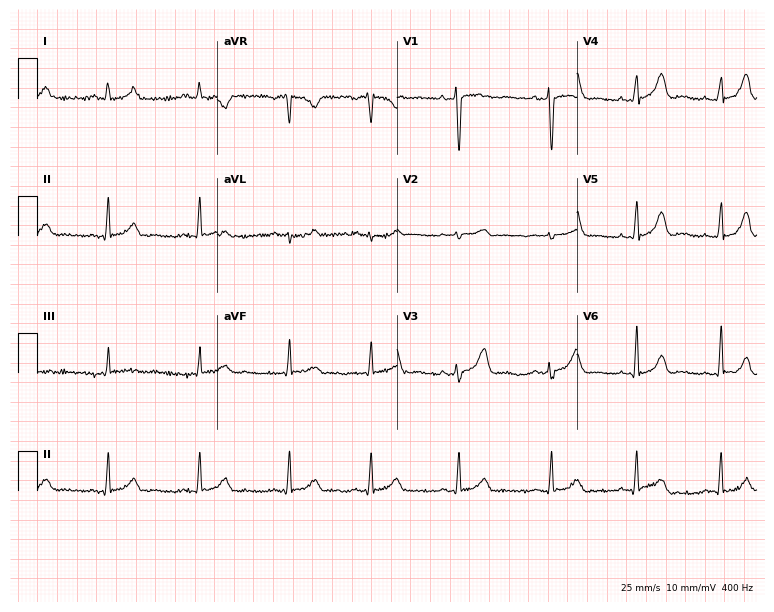
Standard 12-lead ECG recorded from a woman, 29 years old. Read as a normal ECG.